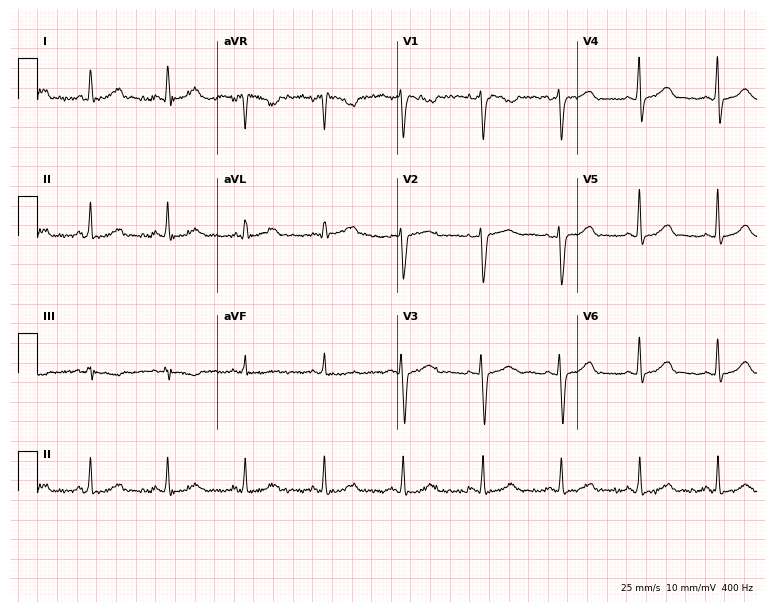
12-lead ECG from a female patient, 40 years old (7.3-second recording at 400 Hz). Recorded interpretation: within normal limits.